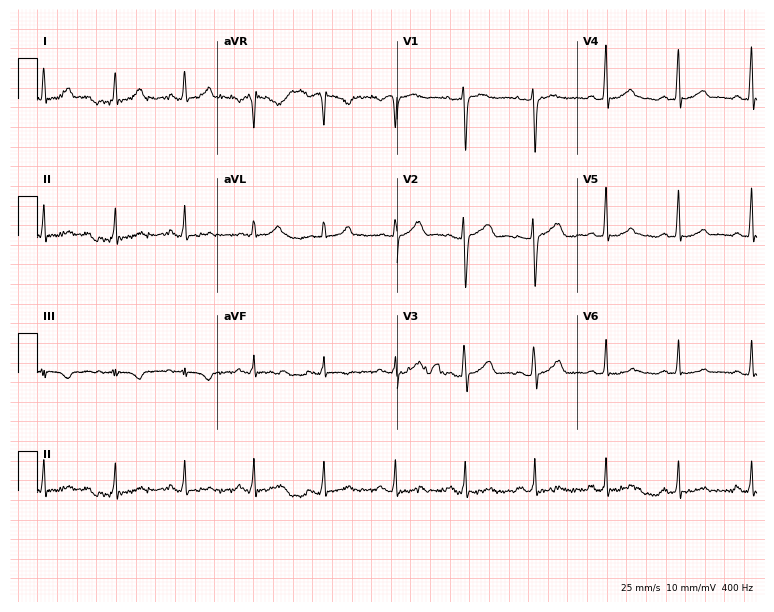
12-lead ECG from a 44-year-old female patient. No first-degree AV block, right bundle branch block, left bundle branch block, sinus bradycardia, atrial fibrillation or sinus tachycardia recorded for this tracing. Only these six findings were labelled.